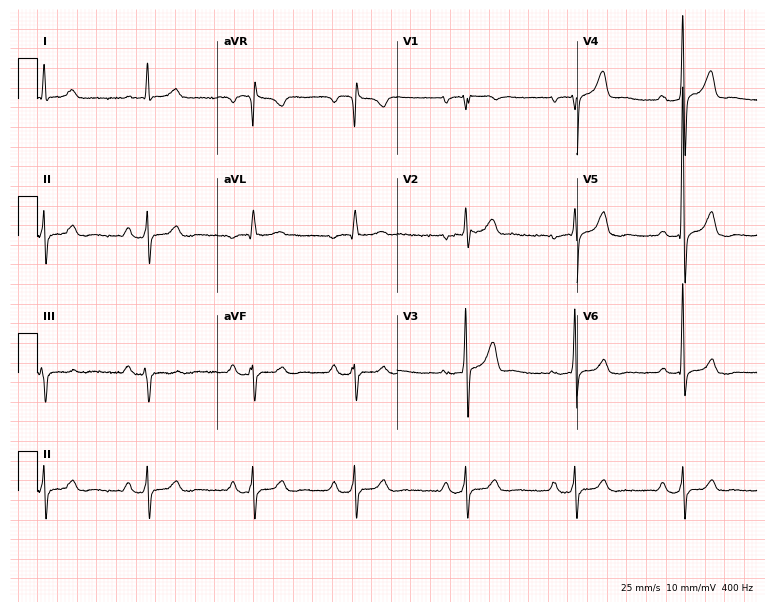
12-lead ECG from an 82-year-old male patient. Shows first-degree AV block.